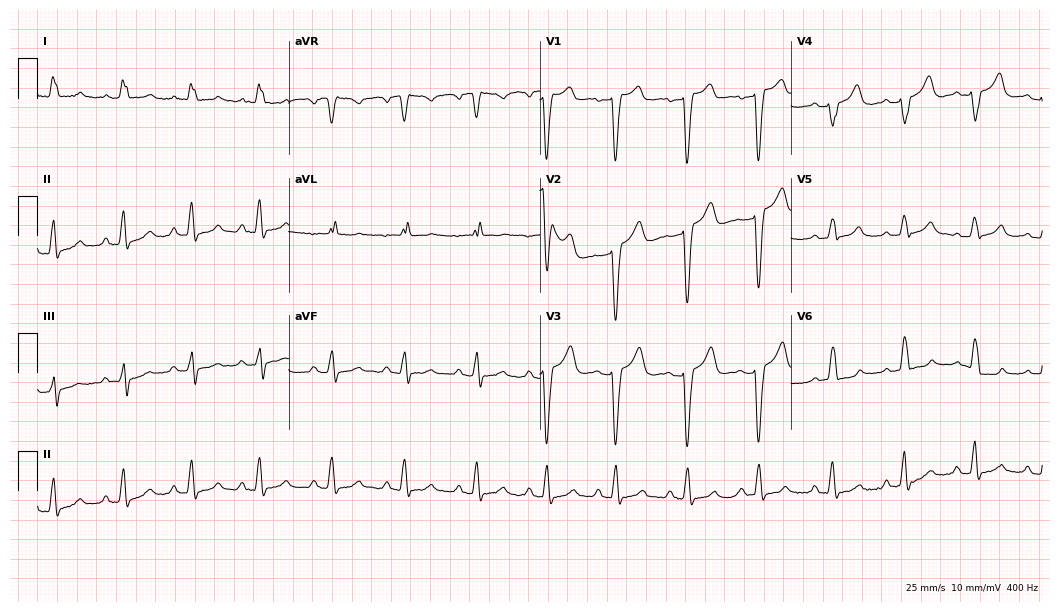
12-lead ECG from a 64-year-old female (10.2-second recording at 400 Hz). No first-degree AV block, right bundle branch block, left bundle branch block, sinus bradycardia, atrial fibrillation or sinus tachycardia recorded for this tracing.